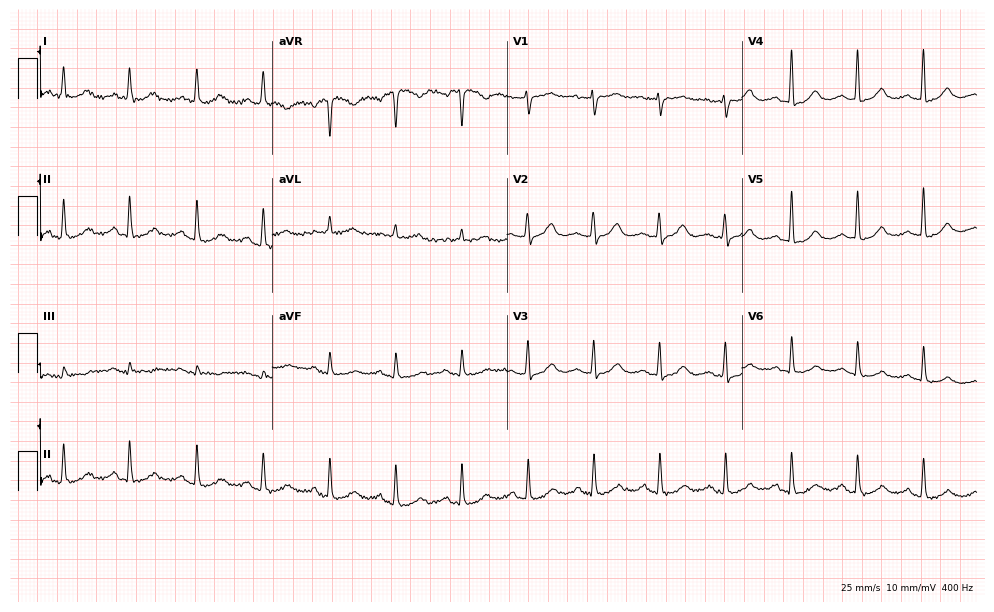
Resting 12-lead electrocardiogram. Patient: a female, 75 years old. None of these six findings is recorded: first-degree AV block, right bundle branch block, left bundle branch block, sinus bradycardia, atrial fibrillation, sinus tachycardia. Other findings, if any, are not listed.